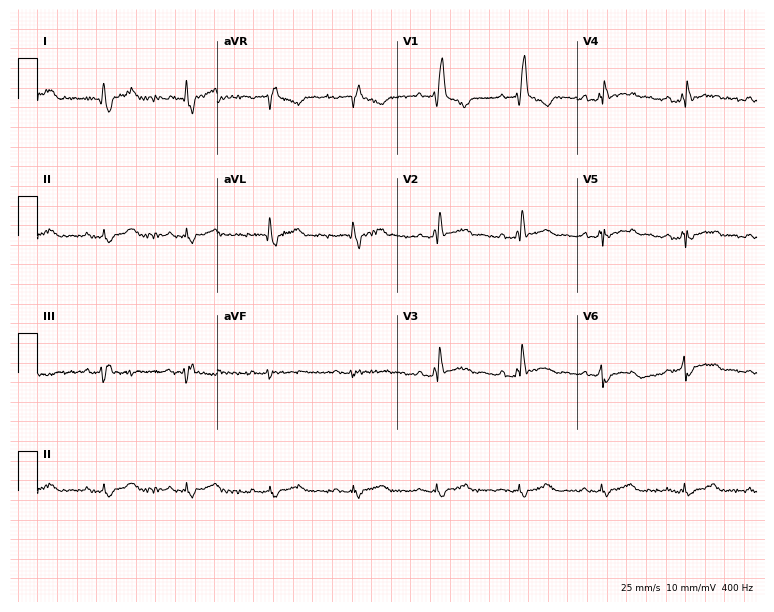
12-lead ECG (7.3-second recording at 400 Hz) from a 57-year-old male. Findings include right bundle branch block.